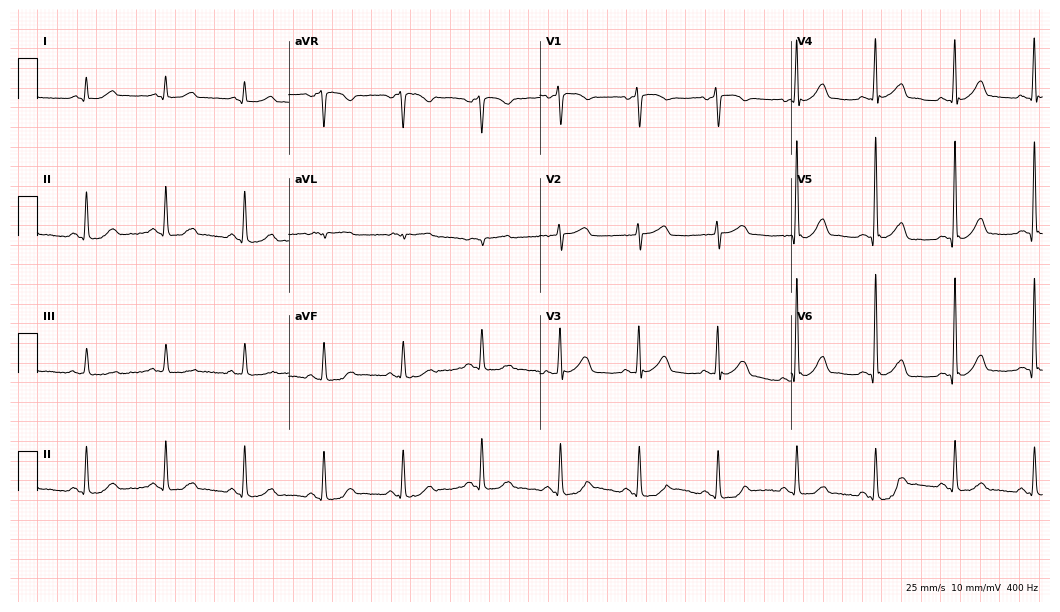
Resting 12-lead electrocardiogram (10.2-second recording at 400 Hz). Patient: a 67-year-old male. Read as a normal ECG.